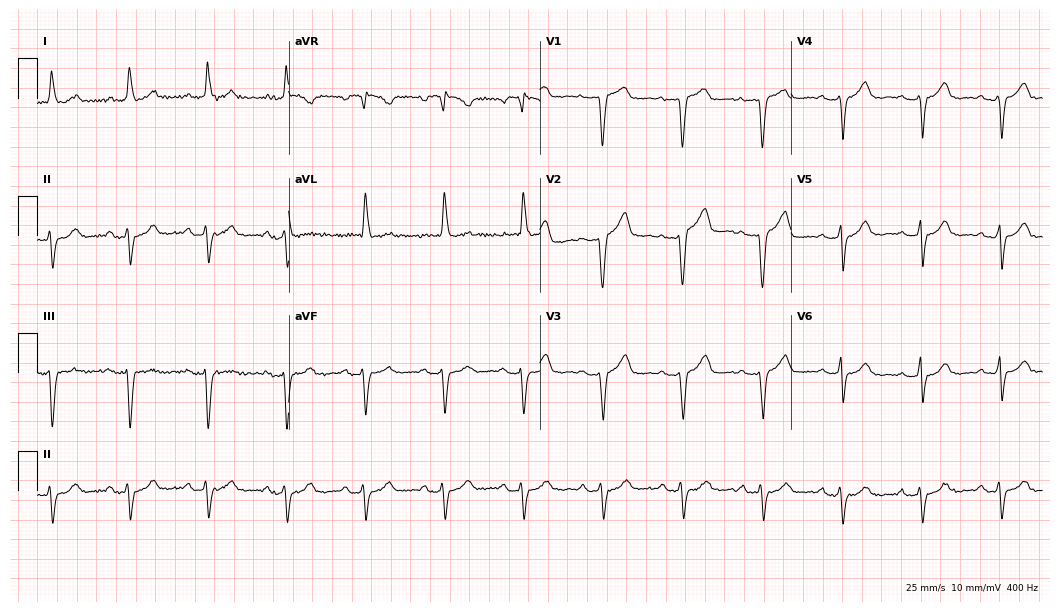
12-lead ECG from a 74-year-old woman (10.2-second recording at 400 Hz). No first-degree AV block, right bundle branch block, left bundle branch block, sinus bradycardia, atrial fibrillation or sinus tachycardia recorded for this tracing.